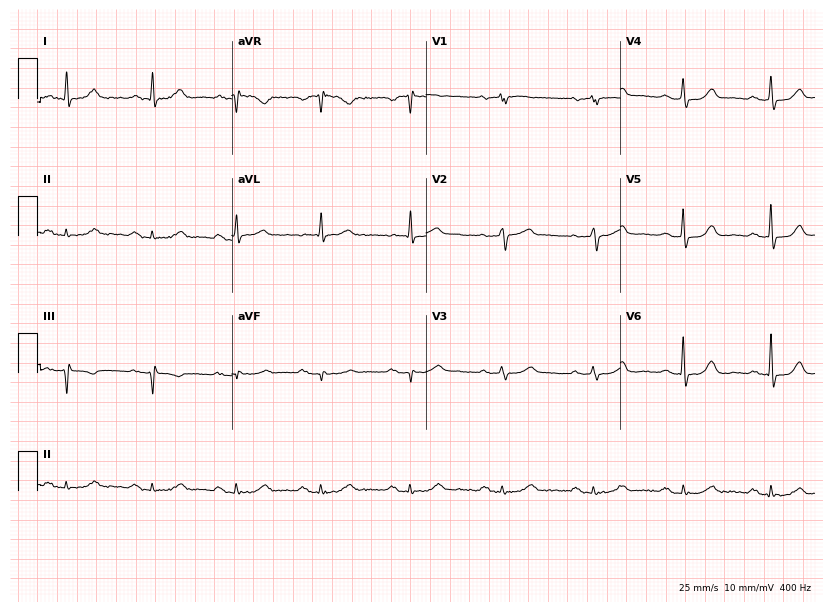
Resting 12-lead electrocardiogram. Patient: a 78-year-old female. The tracing shows first-degree AV block.